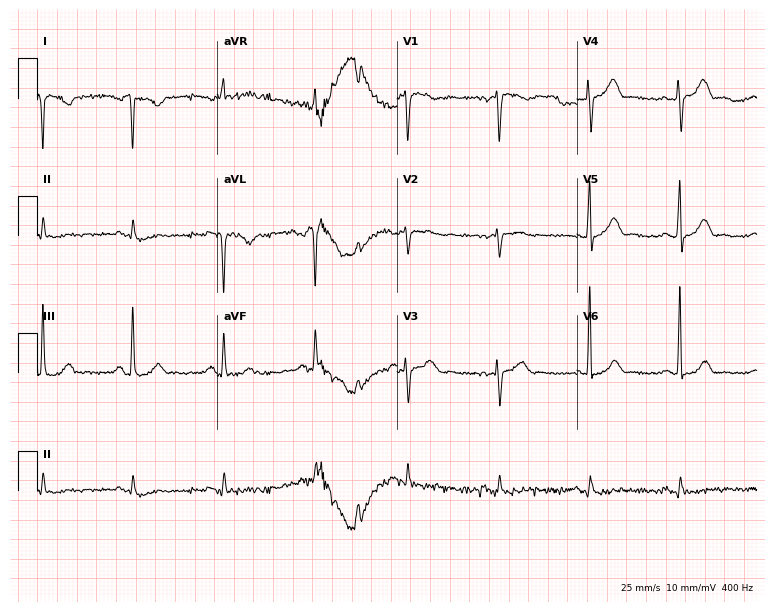
Standard 12-lead ECG recorded from a 64-year-old female patient (7.3-second recording at 400 Hz). None of these six findings is recorded: first-degree AV block, right bundle branch block, left bundle branch block, sinus bradycardia, atrial fibrillation, sinus tachycardia. Findings outside these six are not listed.